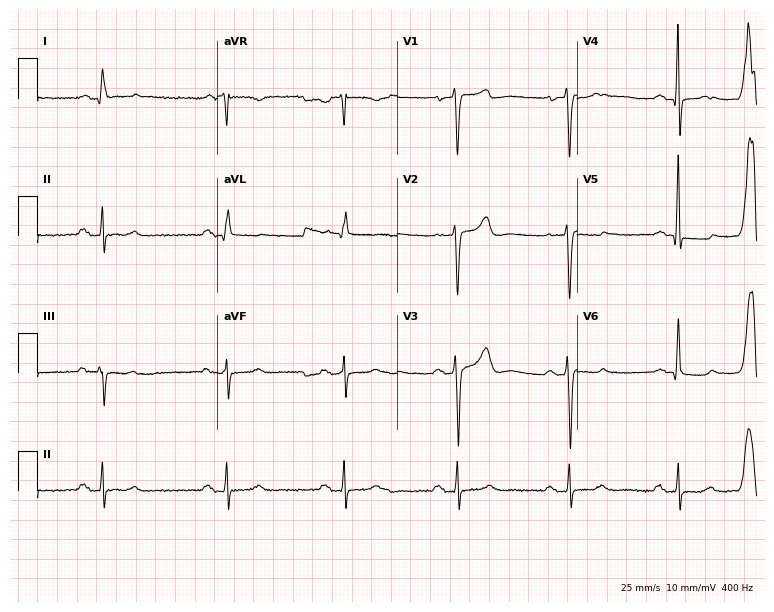
Electrocardiogram (7.3-second recording at 400 Hz), a male patient, 65 years old. Interpretation includes first-degree AV block.